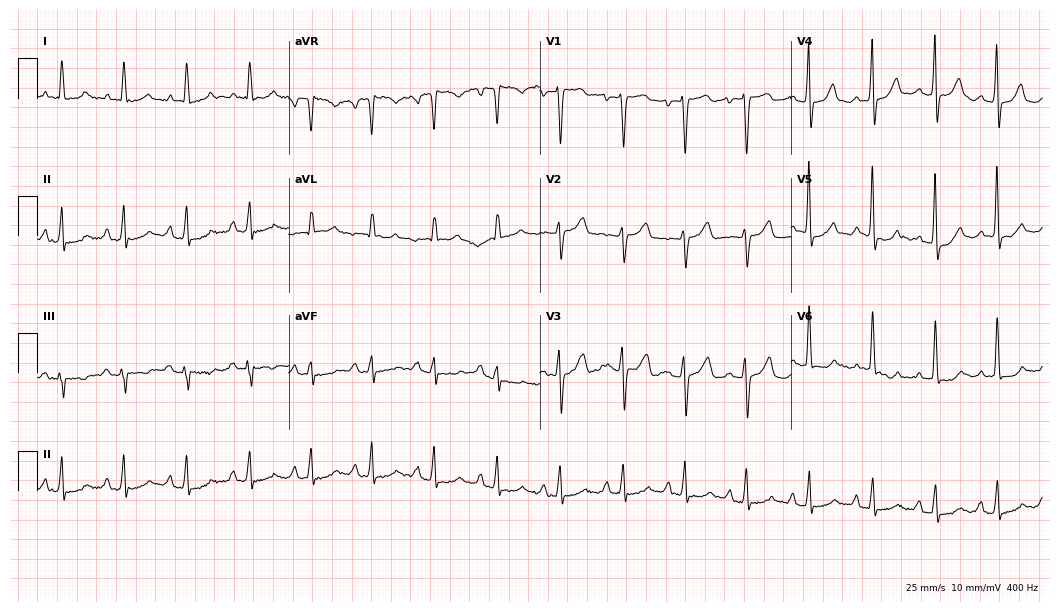
Electrocardiogram (10.2-second recording at 400 Hz), a 74-year-old woman. Of the six screened findings (first-degree AV block, right bundle branch block (RBBB), left bundle branch block (LBBB), sinus bradycardia, atrial fibrillation (AF), sinus tachycardia), none is recorded.